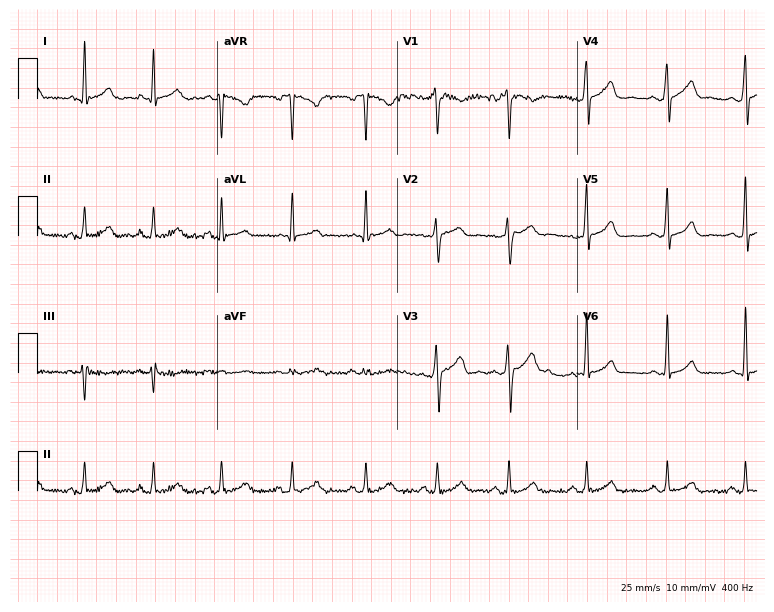
Electrocardiogram, a 38-year-old man. Of the six screened findings (first-degree AV block, right bundle branch block, left bundle branch block, sinus bradycardia, atrial fibrillation, sinus tachycardia), none is recorded. Only these six findings were labelled.